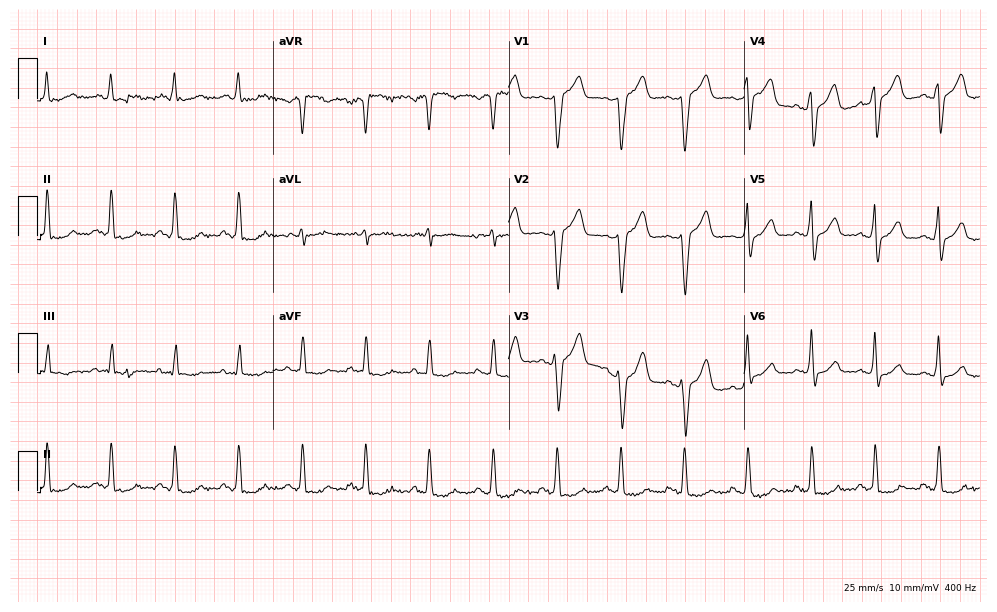
Standard 12-lead ECG recorded from a man, 72 years old. None of these six findings is recorded: first-degree AV block, right bundle branch block, left bundle branch block, sinus bradycardia, atrial fibrillation, sinus tachycardia.